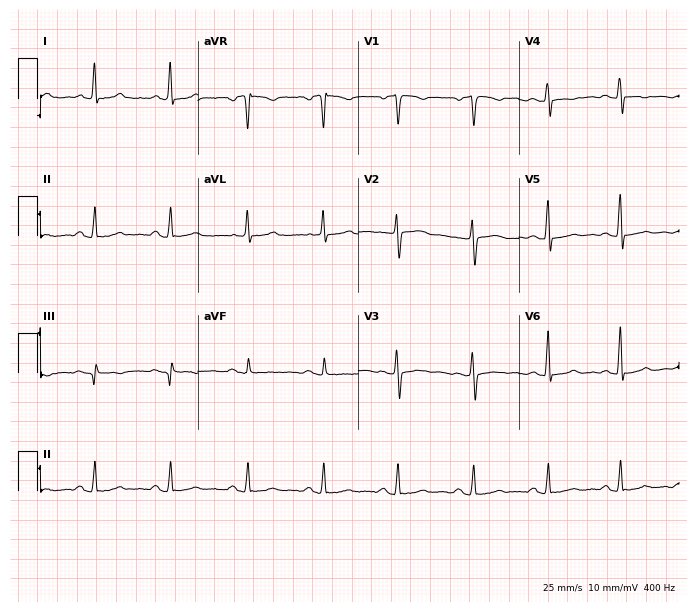
12-lead ECG (6.5-second recording at 400 Hz) from a woman, 53 years old. Screened for six findings — first-degree AV block, right bundle branch block, left bundle branch block, sinus bradycardia, atrial fibrillation, sinus tachycardia — none is recorded. Findings outside these six are not listed.